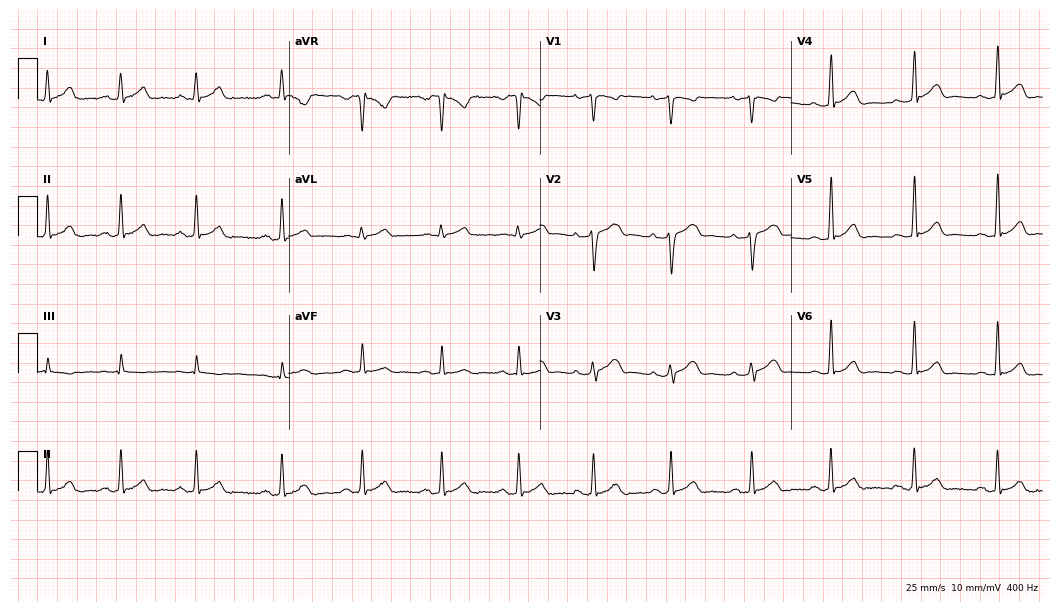
Electrocardiogram, a 27-year-old male patient. Overall reading on record: normal ECG.